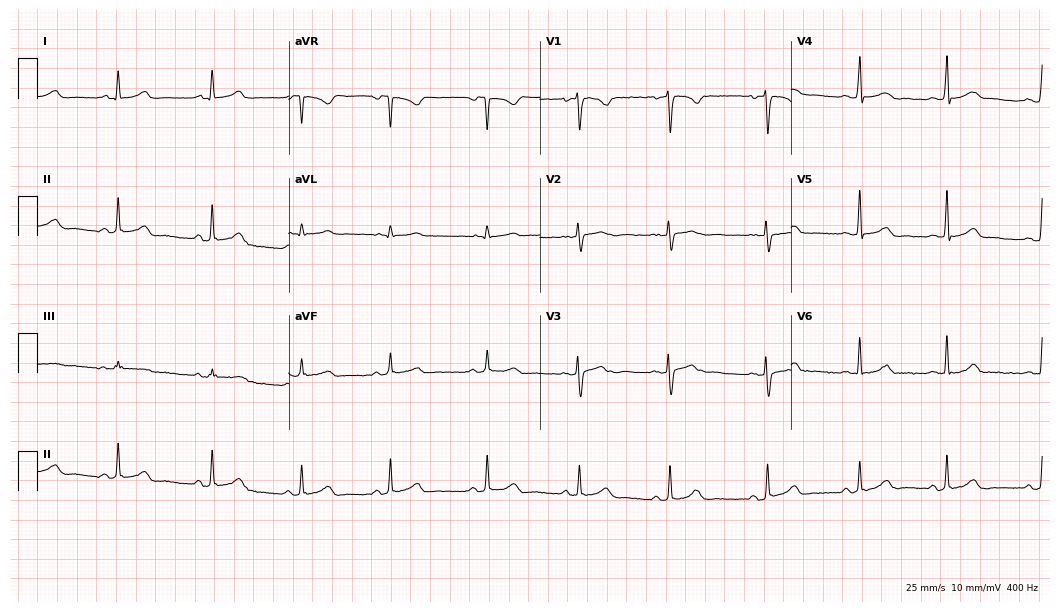
Standard 12-lead ECG recorded from a 20-year-old female. Read as a normal ECG.